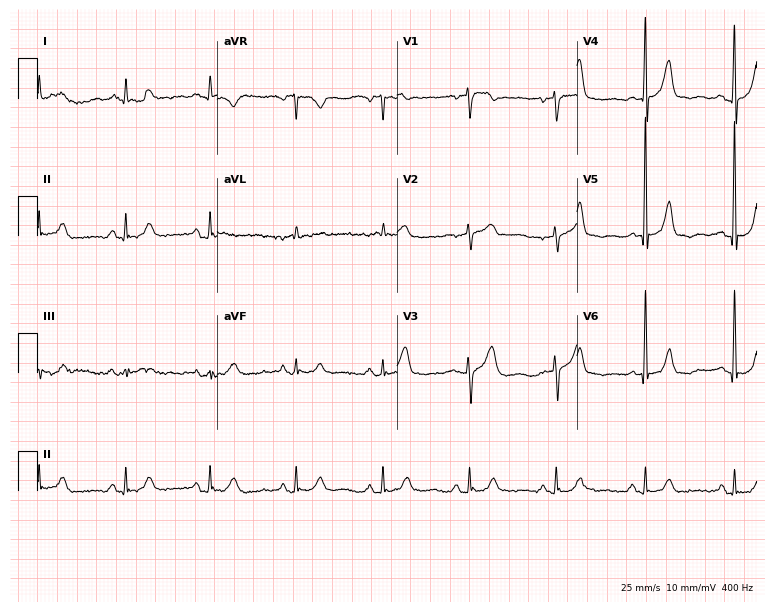
Resting 12-lead electrocardiogram (7.3-second recording at 400 Hz). Patient: a 54-year-old male. None of these six findings is recorded: first-degree AV block, right bundle branch block, left bundle branch block, sinus bradycardia, atrial fibrillation, sinus tachycardia.